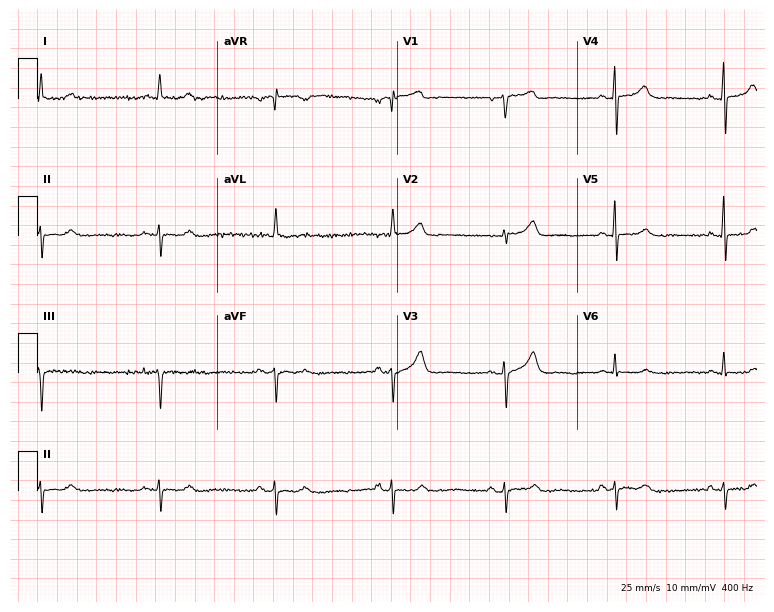
Electrocardiogram (7.3-second recording at 400 Hz), a 72-year-old male patient. Of the six screened findings (first-degree AV block, right bundle branch block, left bundle branch block, sinus bradycardia, atrial fibrillation, sinus tachycardia), none is recorded. Only these six findings were labelled.